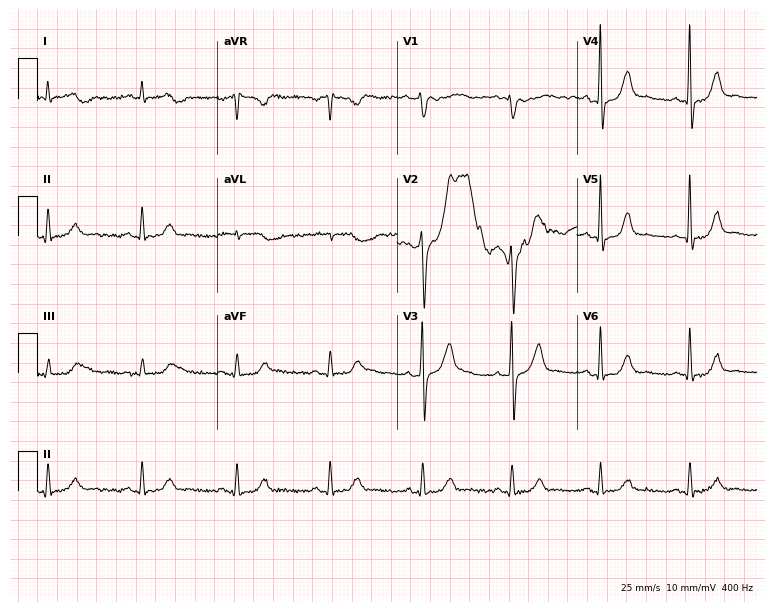
Standard 12-lead ECG recorded from a man, 59 years old (7.3-second recording at 400 Hz). None of these six findings is recorded: first-degree AV block, right bundle branch block (RBBB), left bundle branch block (LBBB), sinus bradycardia, atrial fibrillation (AF), sinus tachycardia. Only these six findings were labelled.